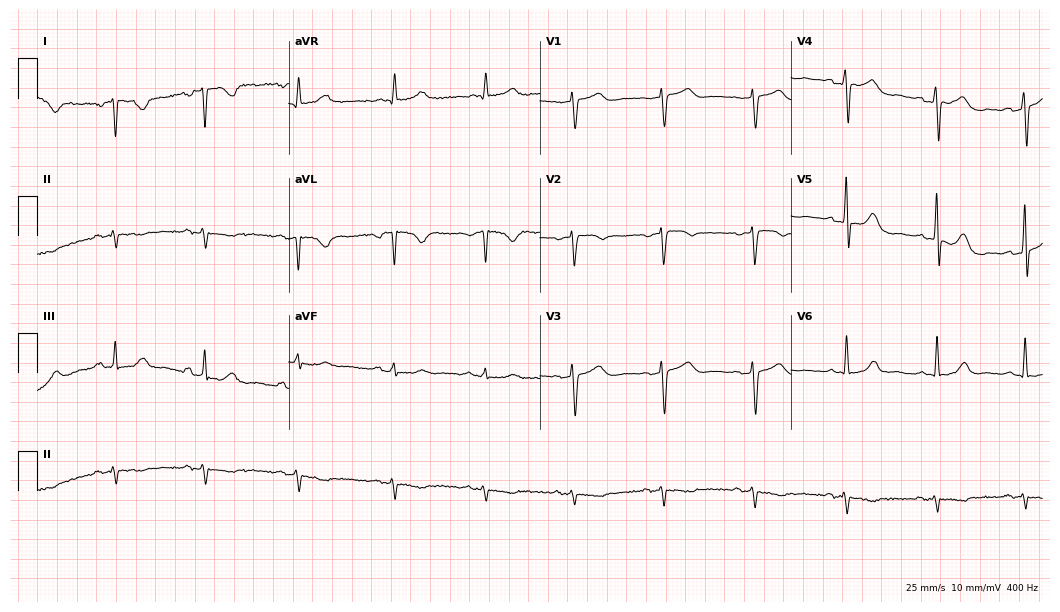
12-lead ECG from a woman, 62 years old (10.2-second recording at 400 Hz). No first-degree AV block, right bundle branch block, left bundle branch block, sinus bradycardia, atrial fibrillation or sinus tachycardia recorded for this tracing.